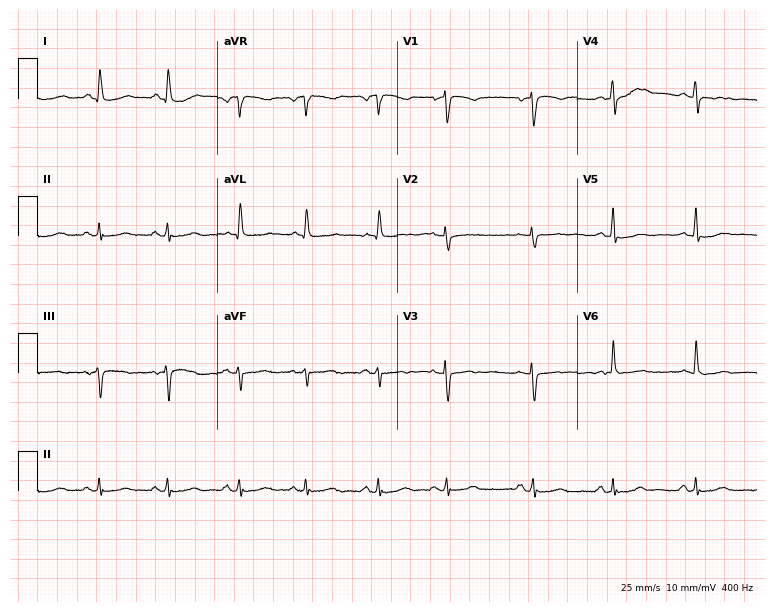
Electrocardiogram, a man, 68 years old. Of the six screened findings (first-degree AV block, right bundle branch block, left bundle branch block, sinus bradycardia, atrial fibrillation, sinus tachycardia), none is recorded. Other findings, if any, are not listed.